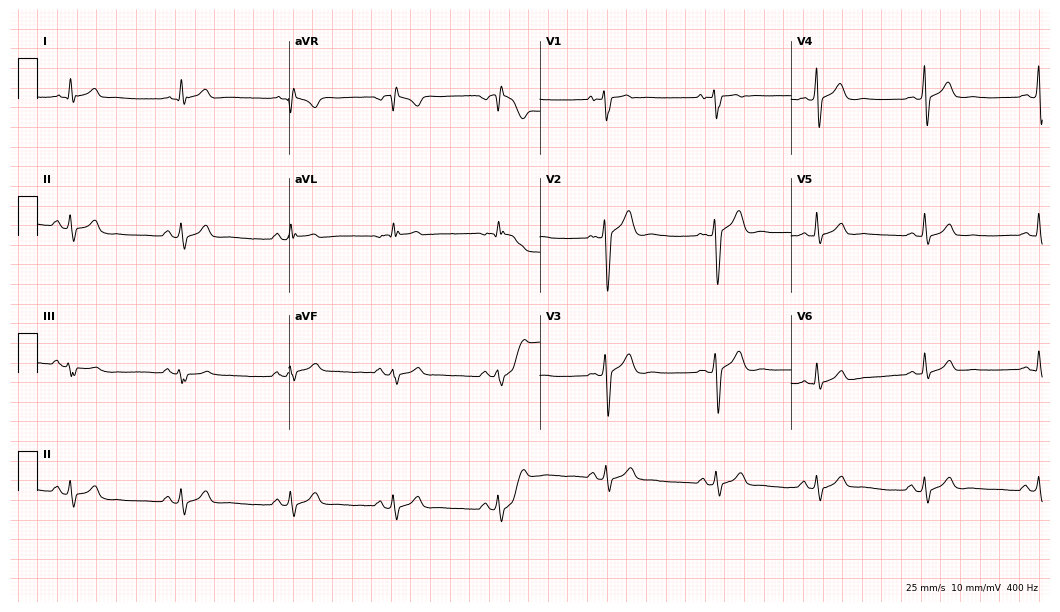
Electrocardiogram, a 27-year-old man. Of the six screened findings (first-degree AV block, right bundle branch block, left bundle branch block, sinus bradycardia, atrial fibrillation, sinus tachycardia), none is recorded. Only these six findings were labelled.